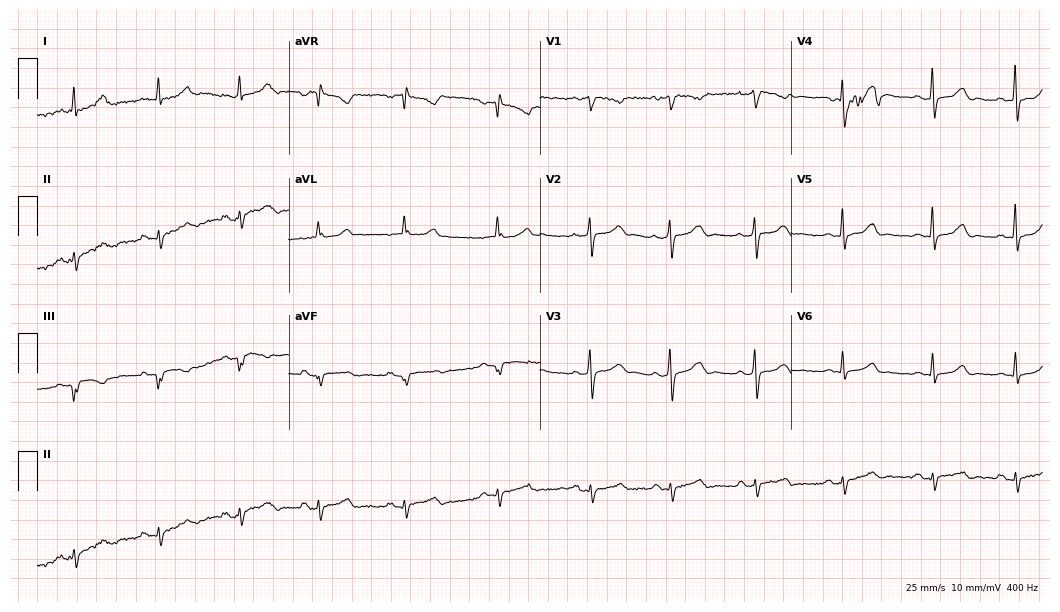
Standard 12-lead ECG recorded from a 30-year-old female. None of these six findings is recorded: first-degree AV block, right bundle branch block, left bundle branch block, sinus bradycardia, atrial fibrillation, sinus tachycardia. Other findings, if any, are not listed.